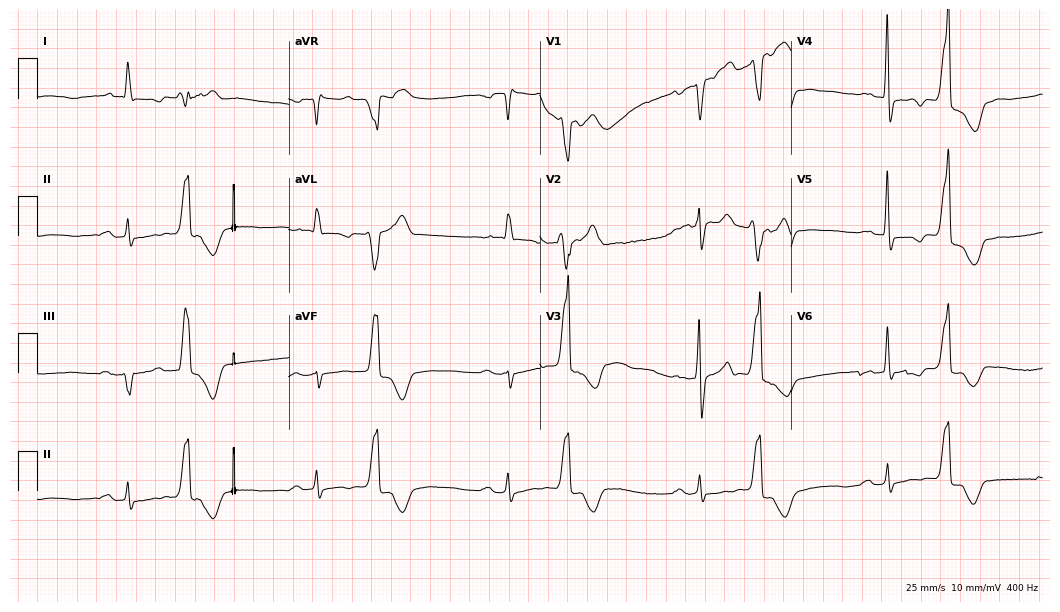
12-lead ECG (10.2-second recording at 400 Hz) from a 61-year-old male. Findings include first-degree AV block.